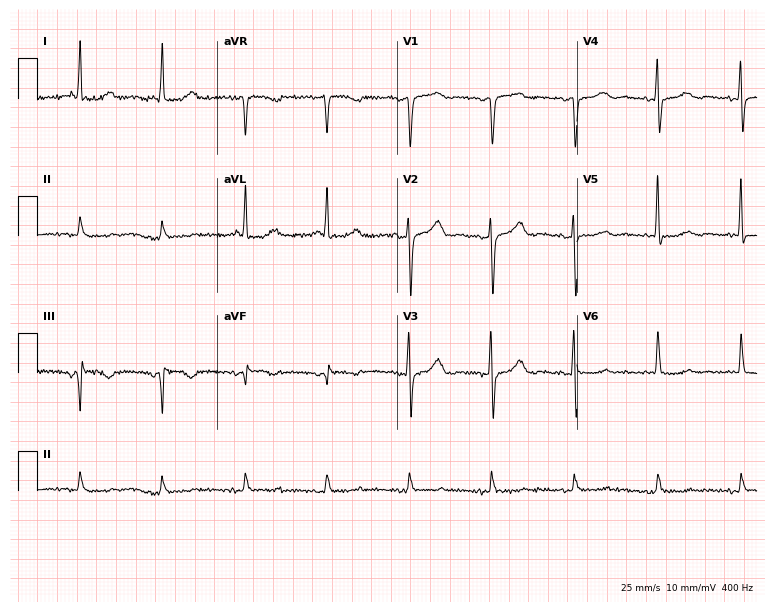
Standard 12-lead ECG recorded from an 81-year-old female (7.3-second recording at 400 Hz). None of these six findings is recorded: first-degree AV block, right bundle branch block, left bundle branch block, sinus bradycardia, atrial fibrillation, sinus tachycardia.